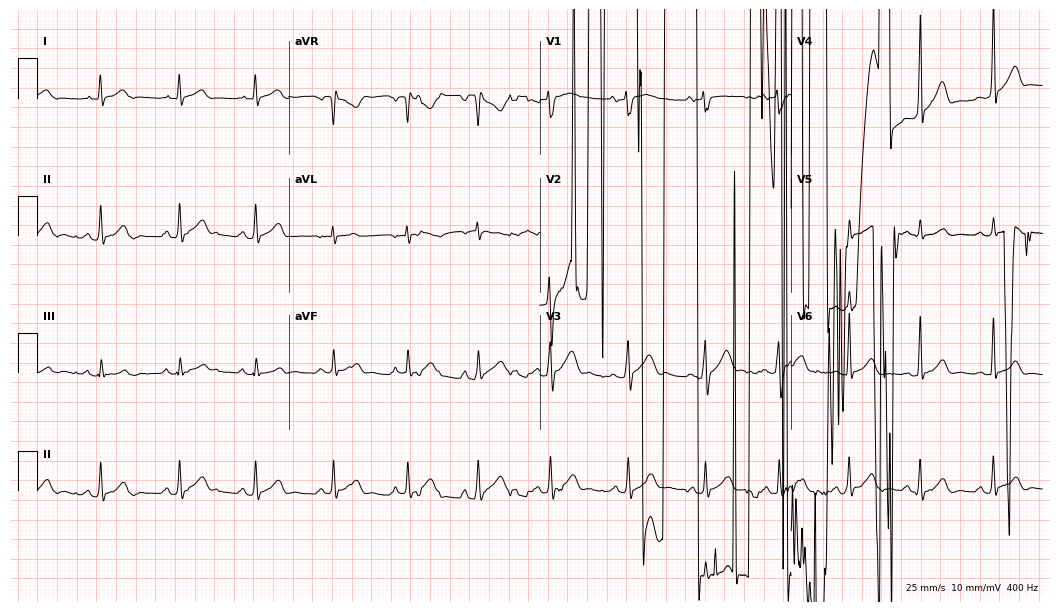
Resting 12-lead electrocardiogram. Patient: a 25-year-old man. None of these six findings is recorded: first-degree AV block, right bundle branch block, left bundle branch block, sinus bradycardia, atrial fibrillation, sinus tachycardia.